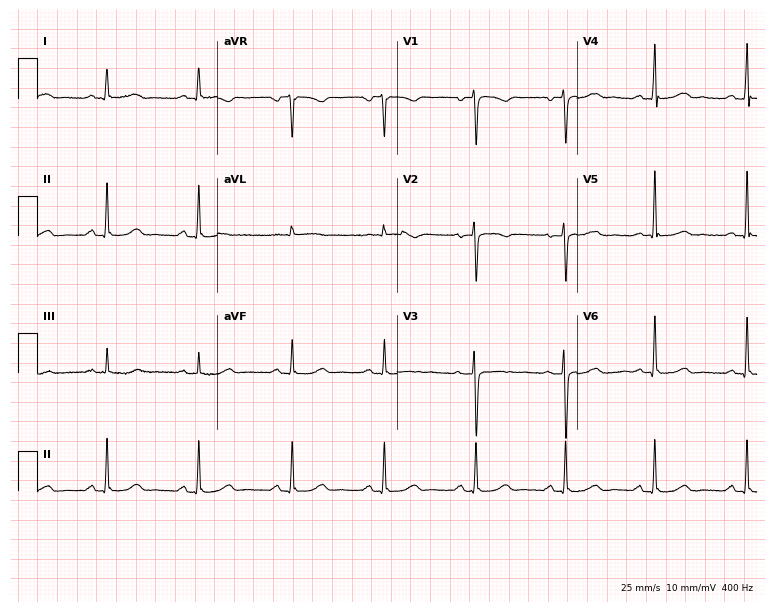
Standard 12-lead ECG recorded from a 51-year-old woman (7.3-second recording at 400 Hz). None of these six findings is recorded: first-degree AV block, right bundle branch block (RBBB), left bundle branch block (LBBB), sinus bradycardia, atrial fibrillation (AF), sinus tachycardia. Other findings, if any, are not listed.